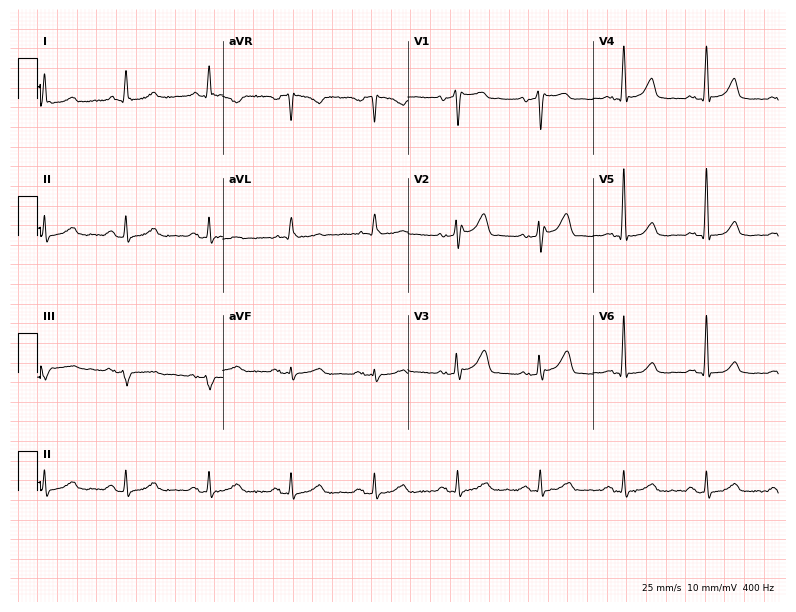
Standard 12-lead ECG recorded from a female patient, 26 years old (7.6-second recording at 400 Hz). None of these six findings is recorded: first-degree AV block, right bundle branch block (RBBB), left bundle branch block (LBBB), sinus bradycardia, atrial fibrillation (AF), sinus tachycardia.